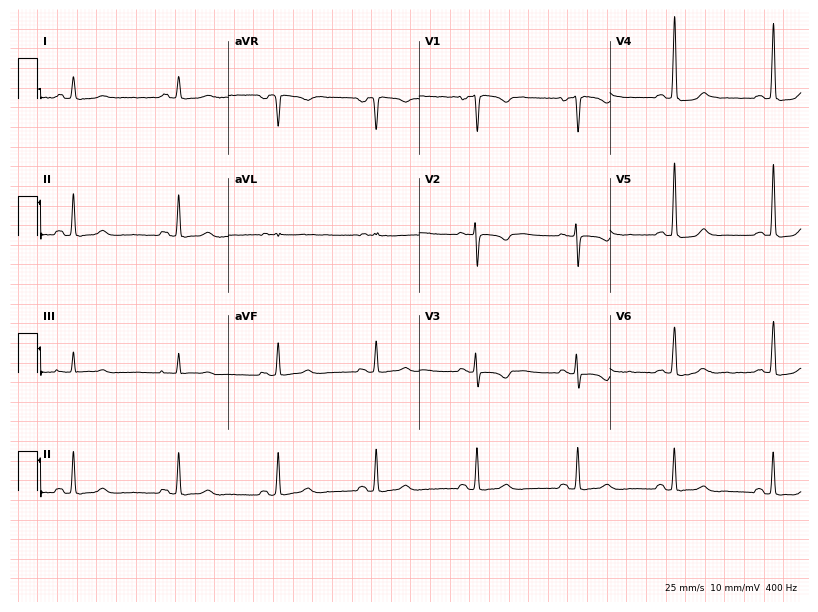
Electrocardiogram (7.8-second recording at 400 Hz), a woman, 38 years old. Of the six screened findings (first-degree AV block, right bundle branch block, left bundle branch block, sinus bradycardia, atrial fibrillation, sinus tachycardia), none is recorded.